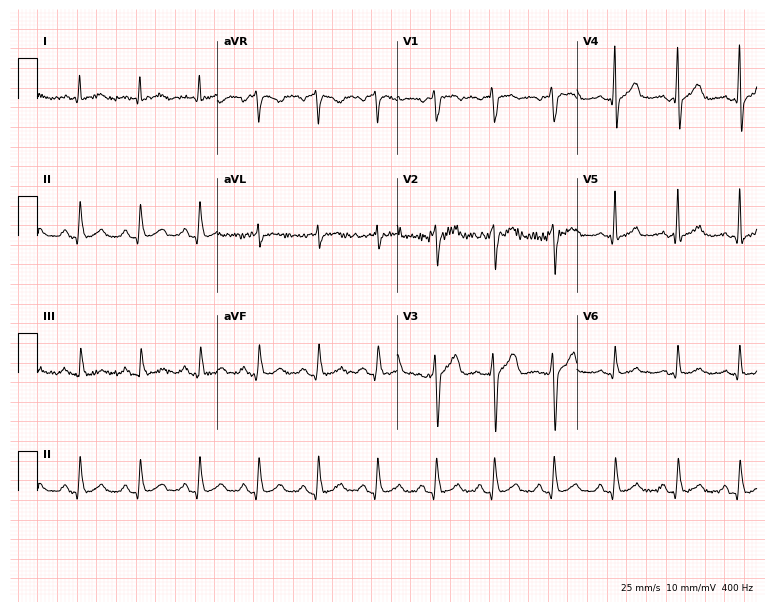
12-lead ECG from a man, 43 years old (7.3-second recording at 400 Hz). Recorded interpretation: within normal limits.